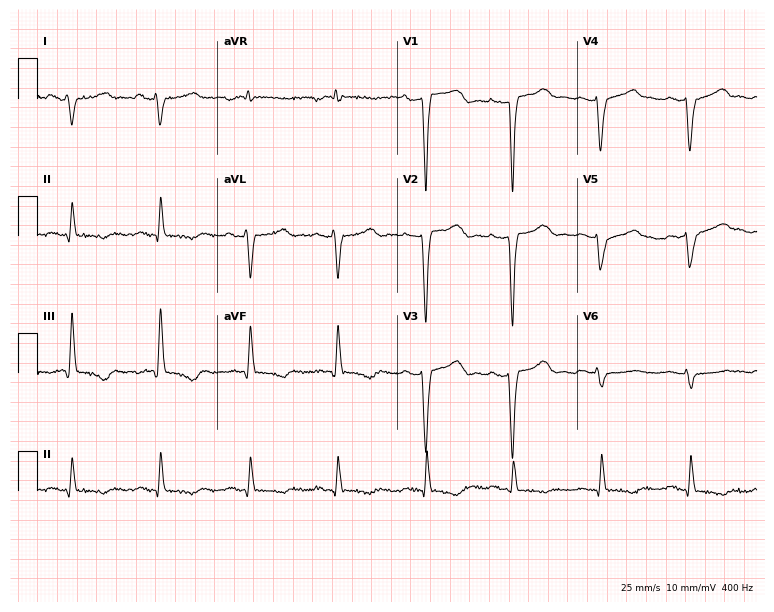
Electrocardiogram (7.3-second recording at 400 Hz), a 64-year-old woman. Of the six screened findings (first-degree AV block, right bundle branch block, left bundle branch block, sinus bradycardia, atrial fibrillation, sinus tachycardia), none is recorded. Only these six findings were labelled.